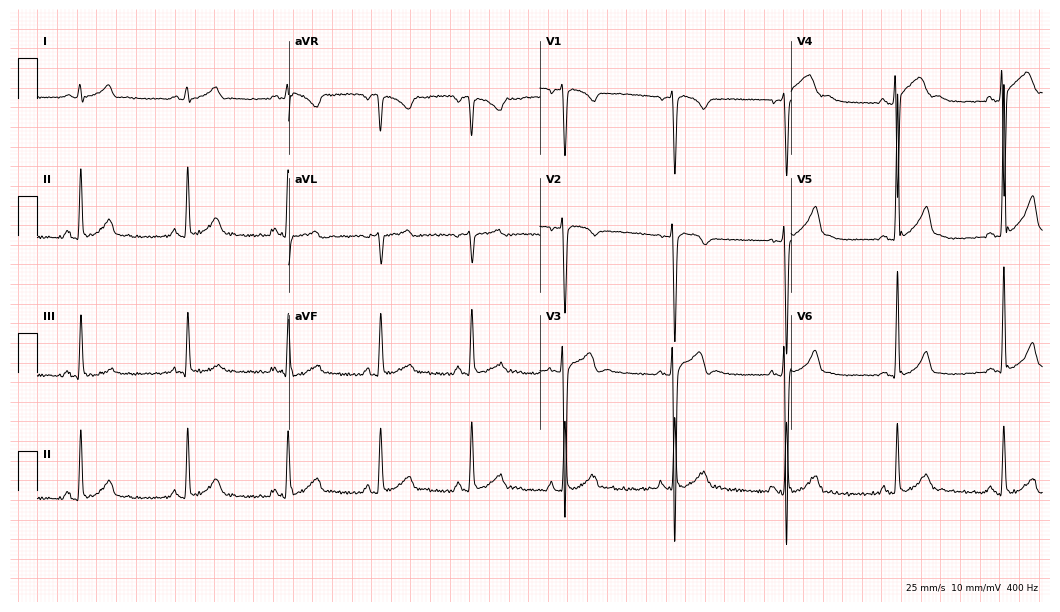
Electrocardiogram, a man, 17 years old. Of the six screened findings (first-degree AV block, right bundle branch block, left bundle branch block, sinus bradycardia, atrial fibrillation, sinus tachycardia), none is recorded. Only these six findings were labelled.